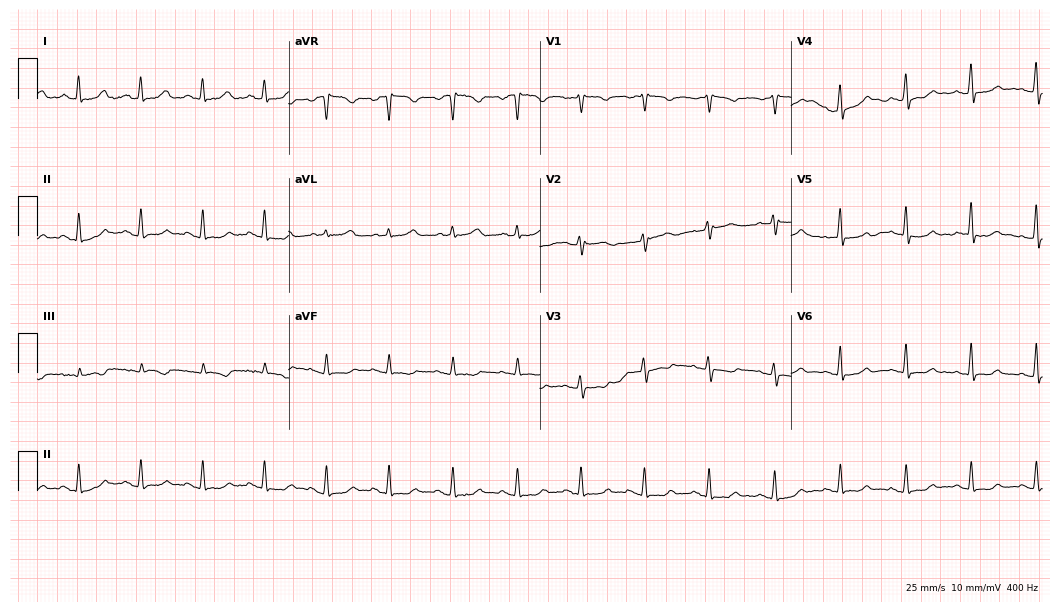
ECG (10.2-second recording at 400 Hz) — a woman, 50 years old. Screened for six findings — first-degree AV block, right bundle branch block (RBBB), left bundle branch block (LBBB), sinus bradycardia, atrial fibrillation (AF), sinus tachycardia — none is recorded. Findings outside these six are not listed.